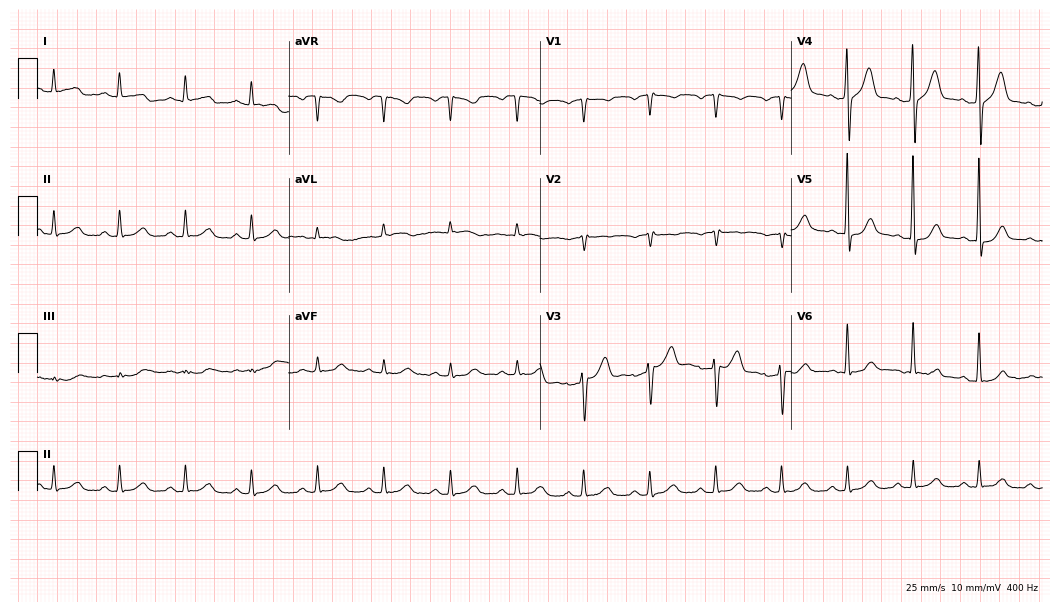
12-lead ECG from a 62-year-old man. Labelled as a normal ECG.